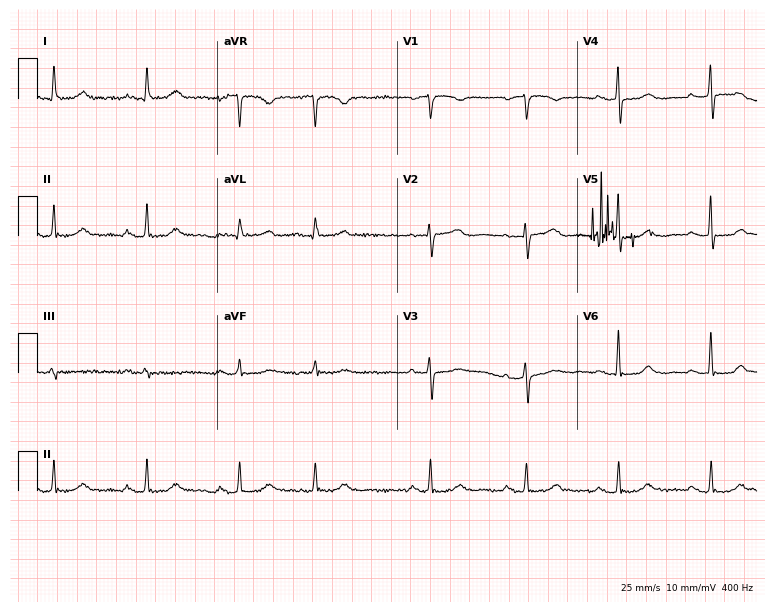
Standard 12-lead ECG recorded from an 80-year-old female. None of these six findings is recorded: first-degree AV block, right bundle branch block (RBBB), left bundle branch block (LBBB), sinus bradycardia, atrial fibrillation (AF), sinus tachycardia.